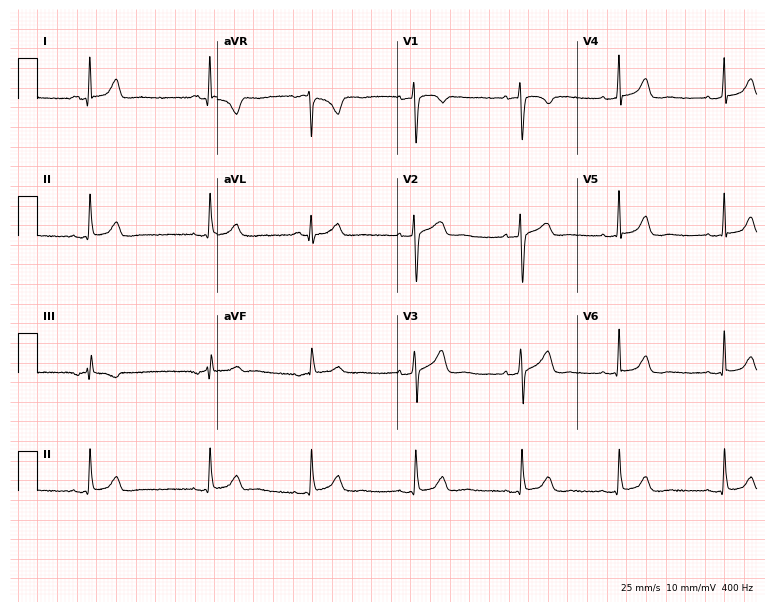
ECG (7.3-second recording at 400 Hz) — a female patient, 38 years old. Screened for six findings — first-degree AV block, right bundle branch block, left bundle branch block, sinus bradycardia, atrial fibrillation, sinus tachycardia — none is recorded.